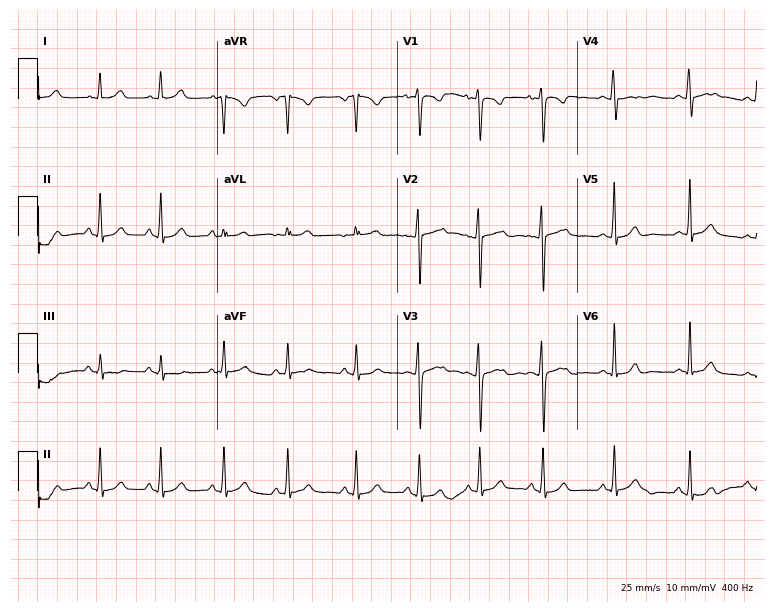
Resting 12-lead electrocardiogram (7.3-second recording at 400 Hz). Patient: a 27-year-old female. None of these six findings is recorded: first-degree AV block, right bundle branch block (RBBB), left bundle branch block (LBBB), sinus bradycardia, atrial fibrillation (AF), sinus tachycardia.